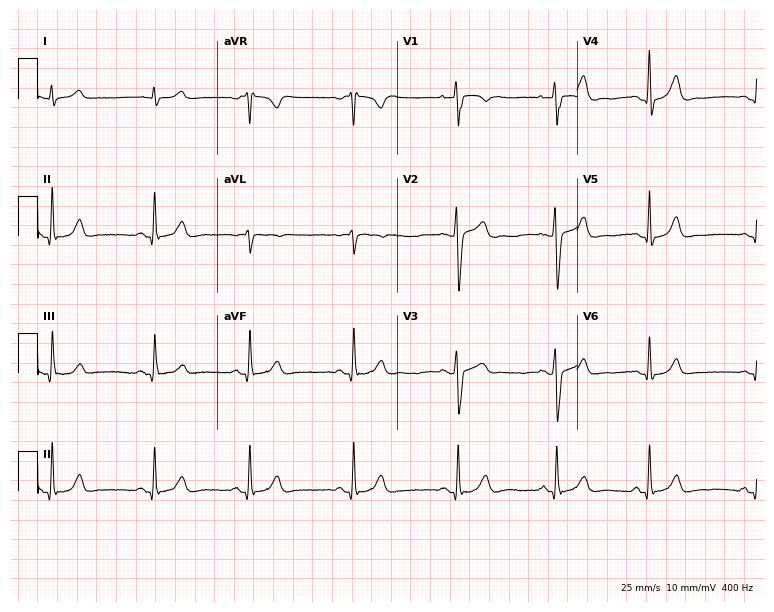
12-lead ECG (7.3-second recording at 400 Hz) from a man, 19 years old. Labelled as a normal ECG.